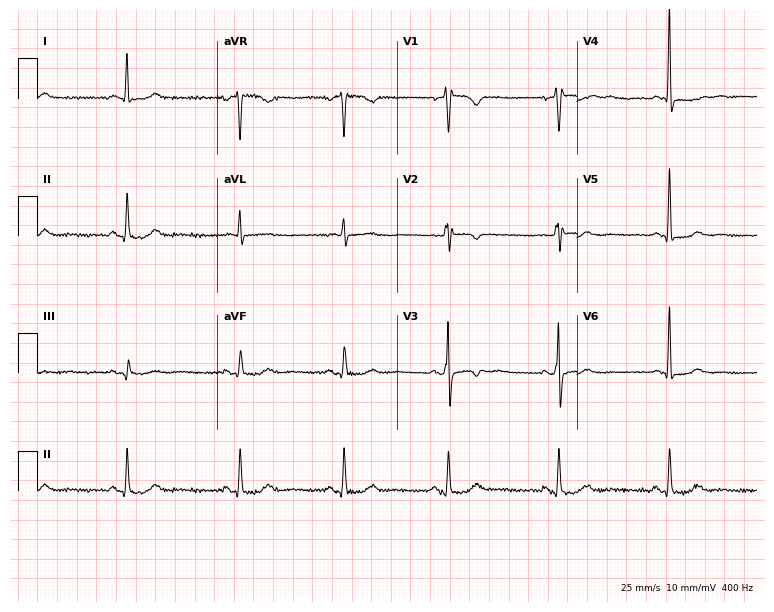
Electrocardiogram, a man, 47 years old. Of the six screened findings (first-degree AV block, right bundle branch block (RBBB), left bundle branch block (LBBB), sinus bradycardia, atrial fibrillation (AF), sinus tachycardia), none is recorded.